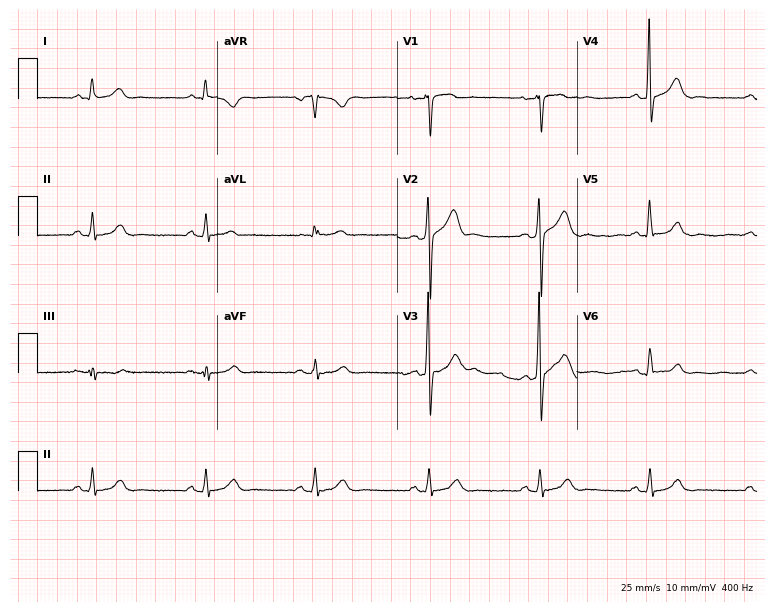
12-lead ECG (7.3-second recording at 400 Hz) from a man, 37 years old. Labelled as a normal ECG.